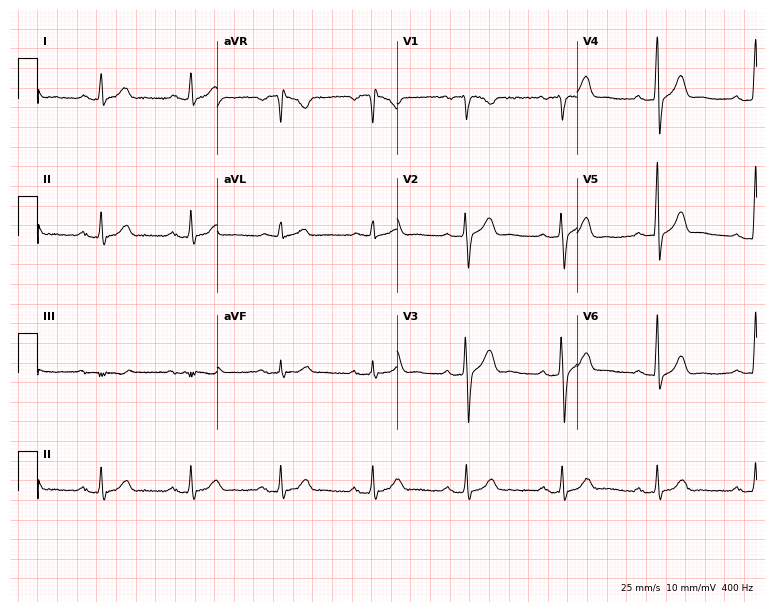
ECG — a 63-year-old male patient. Screened for six findings — first-degree AV block, right bundle branch block, left bundle branch block, sinus bradycardia, atrial fibrillation, sinus tachycardia — none is recorded. Other findings, if any, are not listed.